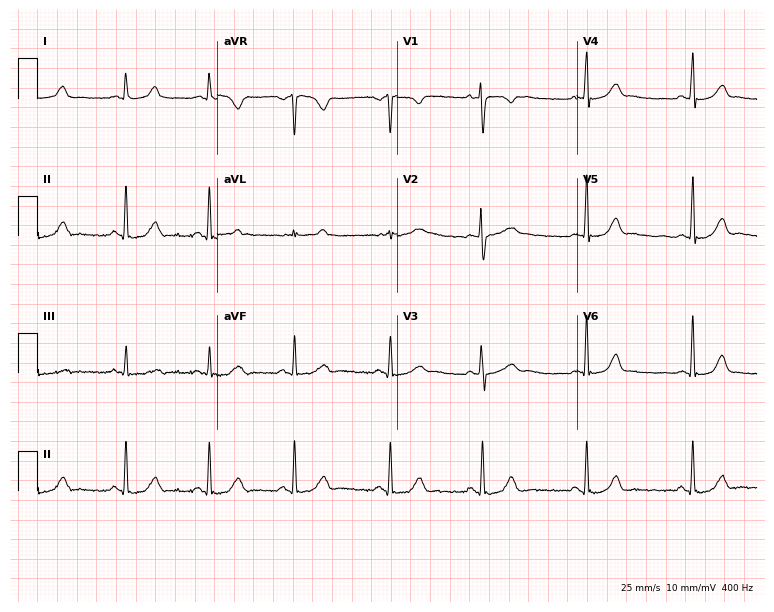
Electrocardiogram (7.3-second recording at 400 Hz), a female patient, 29 years old. Of the six screened findings (first-degree AV block, right bundle branch block (RBBB), left bundle branch block (LBBB), sinus bradycardia, atrial fibrillation (AF), sinus tachycardia), none is recorded.